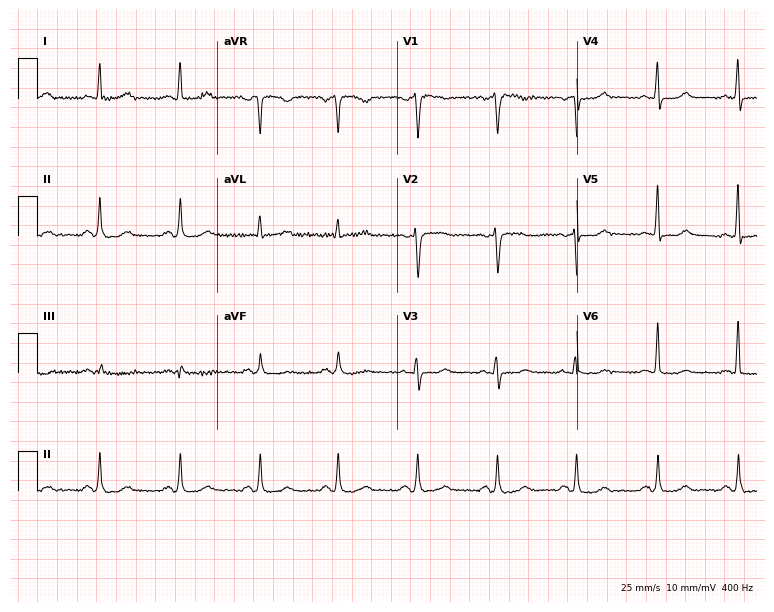
Electrocardiogram (7.3-second recording at 400 Hz), a 57-year-old female. Of the six screened findings (first-degree AV block, right bundle branch block (RBBB), left bundle branch block (LBBB), sinus bradycardia, atrial fibrillation (AF), sinus tachycardia), none is recorded. Other findings, if any, are not listed.